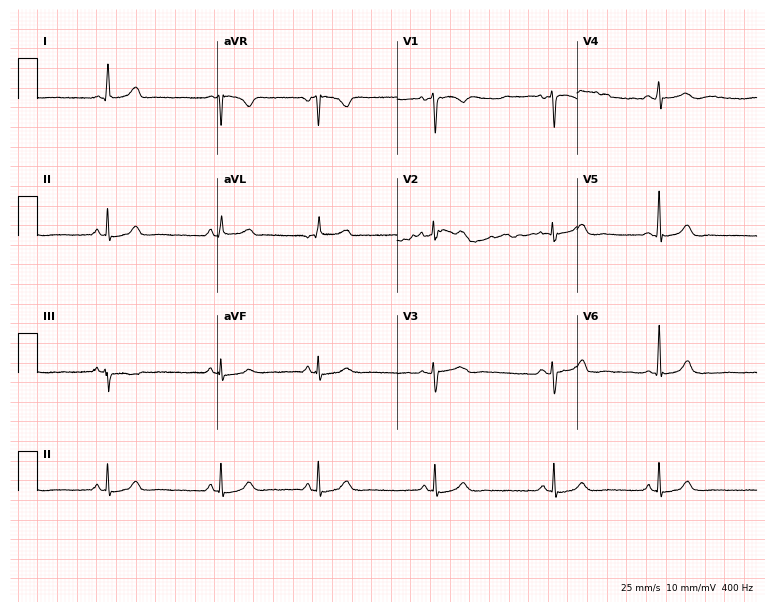
ECG (7.3-second recording at 400 Hz) — a 46-year-old woman. Labelled as a normal ECG.